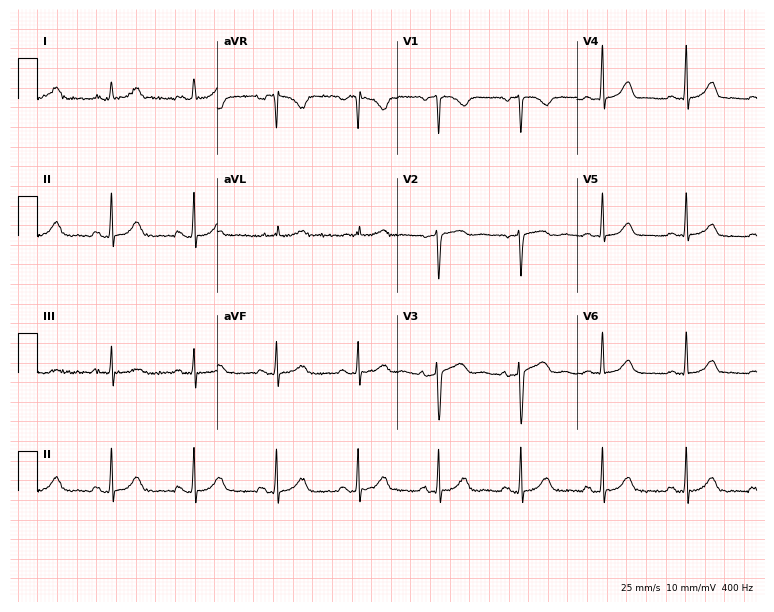
12-lead ECG (7.3-second recording at 400 Hz) from a 56-year-old female patient. Labelled as a normal ECG.